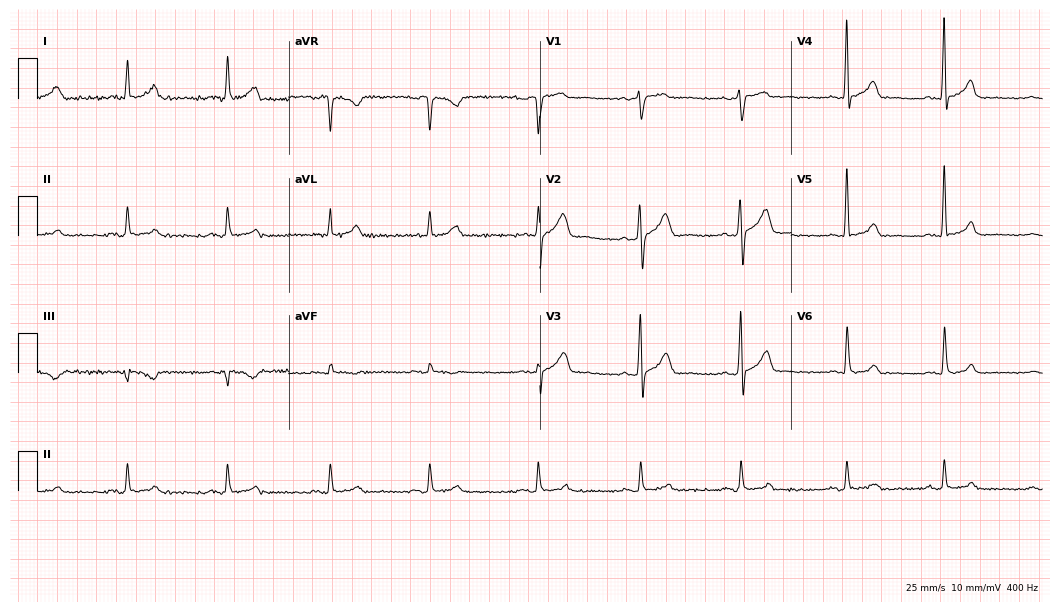
Electrocardiogram (10.2-second recording at 400 Hz), a male patient, 31 years old. Overall reading on record: normal ECG.